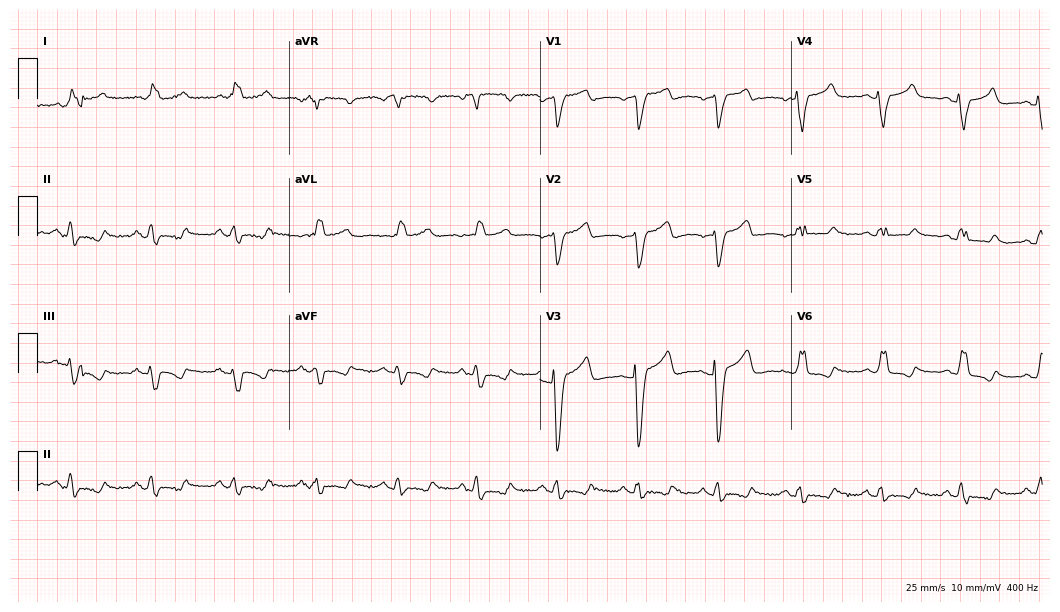
Electrocardiogram (10.2-second recording at 400 Hz), a 71-year-old woman. Interpretation includes left bundle branch block (LBBB).